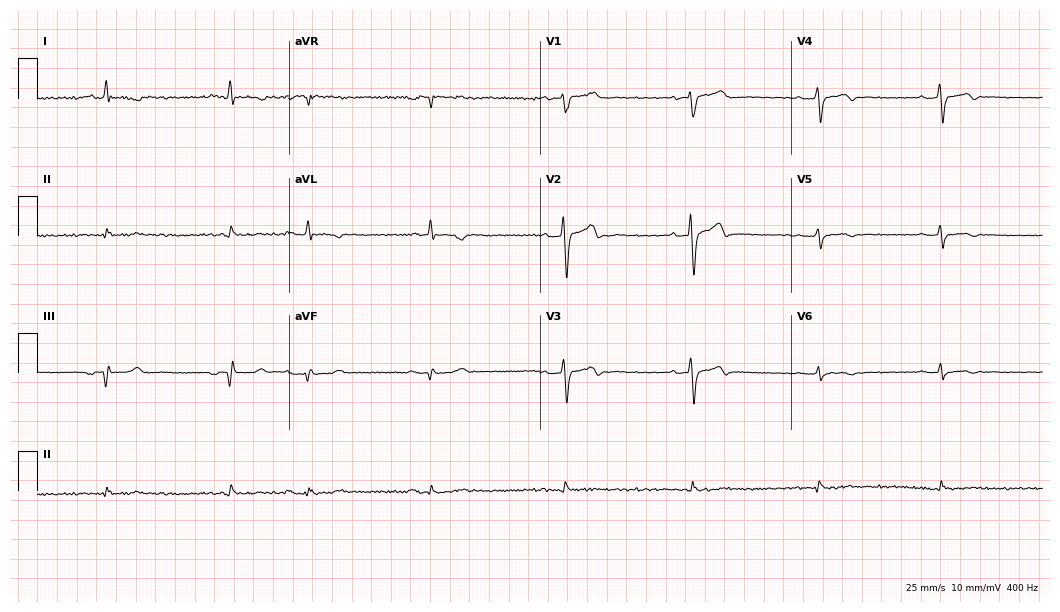
Standard 12-lead ECG recorded from a male, 53 years old. None of these six findings is recorded: first-degree AV block, right bundle branch block (RBBB), left bundle branch block (LBBB), sinus bradycardia, atrial fibrillation (AF), sinus tachycardia. Only these six findings were labelled.